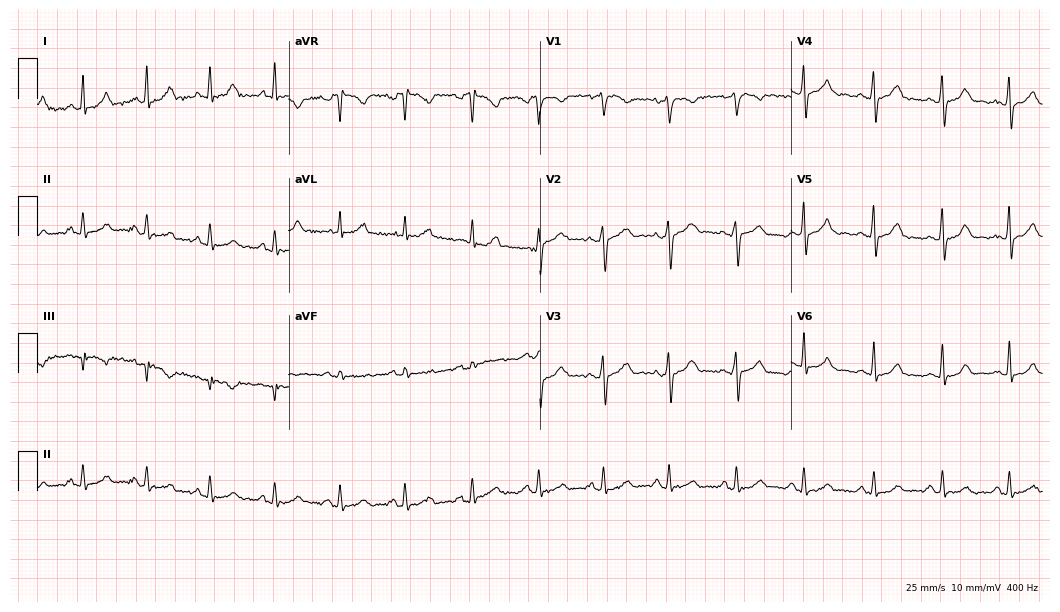
Electrocardiogram (10.2-second recording at 400 Hz), a 33-year-old woman. Overall reading on record: normal ECG.